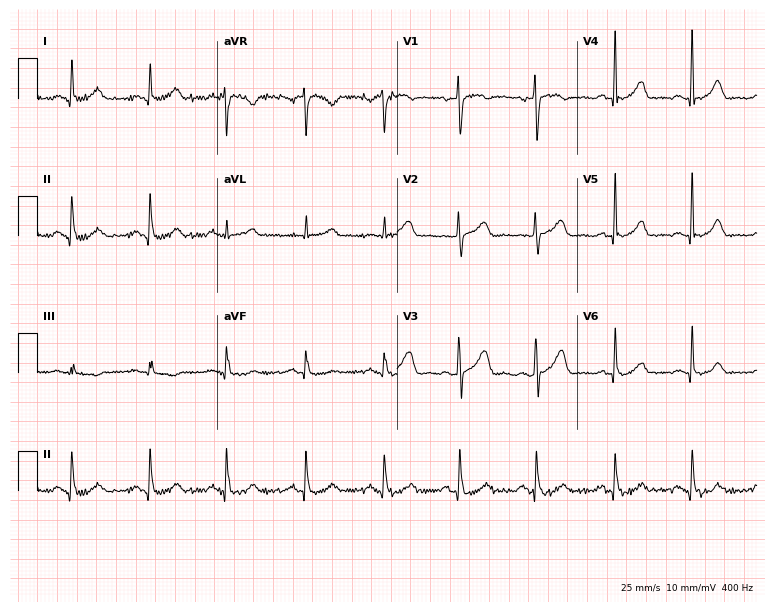
ECG — a 56-year-old woman. Labelled as a normal ECG.